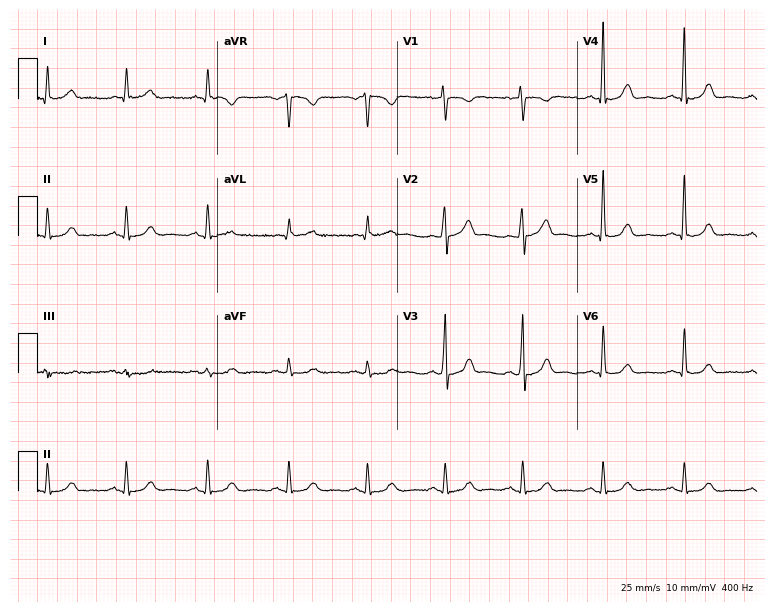
12-lead ECG from a male, 52 years old (7.3-second recording at 400 Hz). Recorded interpretation: within normal limits.